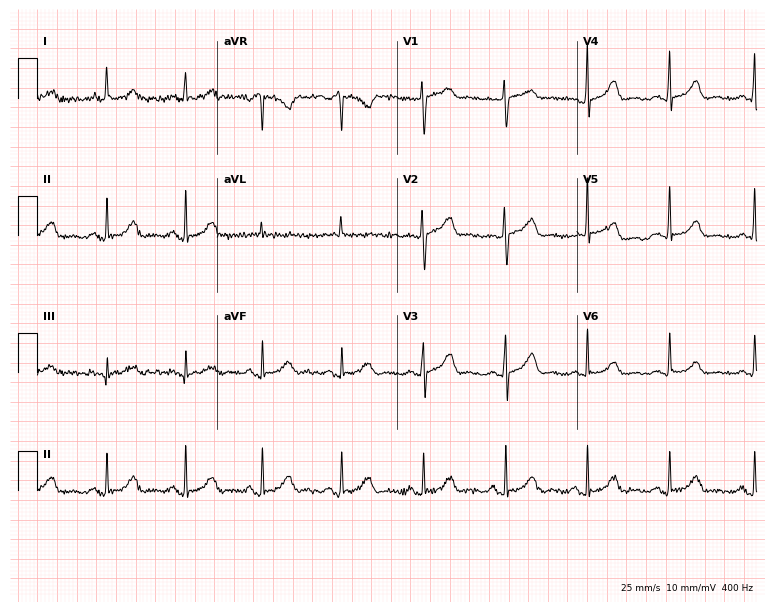
ECG — a 65-year-old female patient. Labelled as a normal ECG.